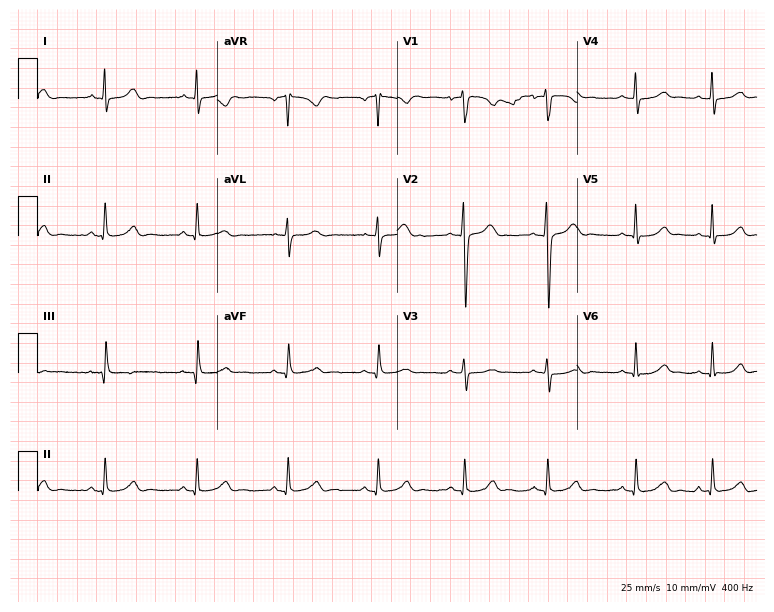
12-lead ECG from a female patient, 24 years old. Labelled as a normal ECG.